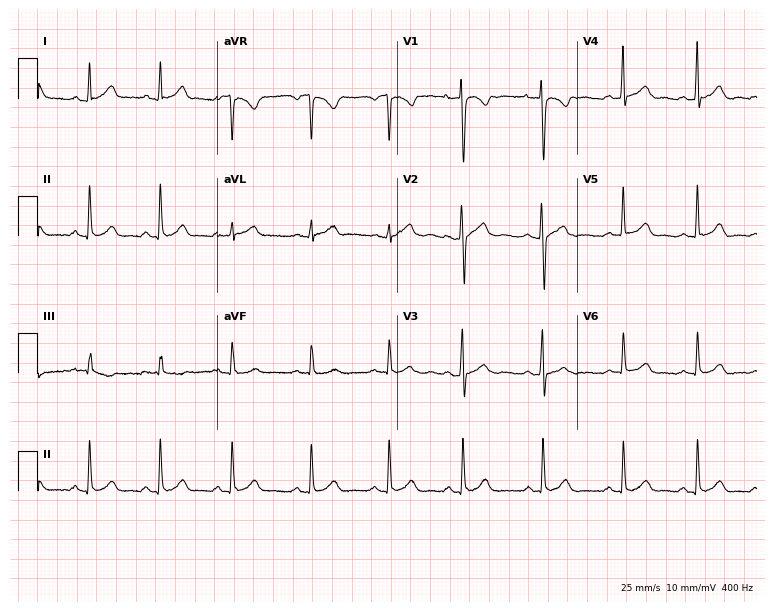
12-lead ECG from a 35-year-old female patient. Recorded interpretation: within normal limits.